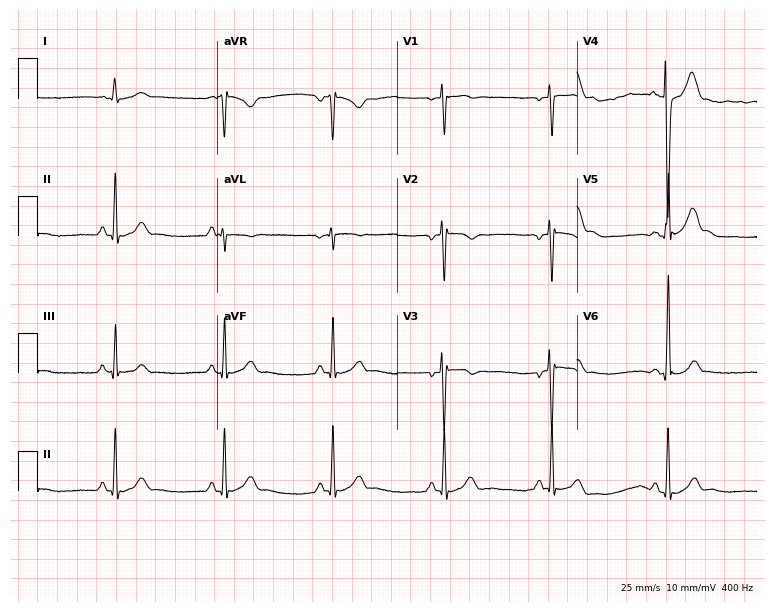
12-lead ECG from a 52-year-old male patient. No first-degree AV block, right bundle branch block, left bundle branch block, sinus bradycardia, atrial fibrillation or sinus tachycardia recorded for this tracing.